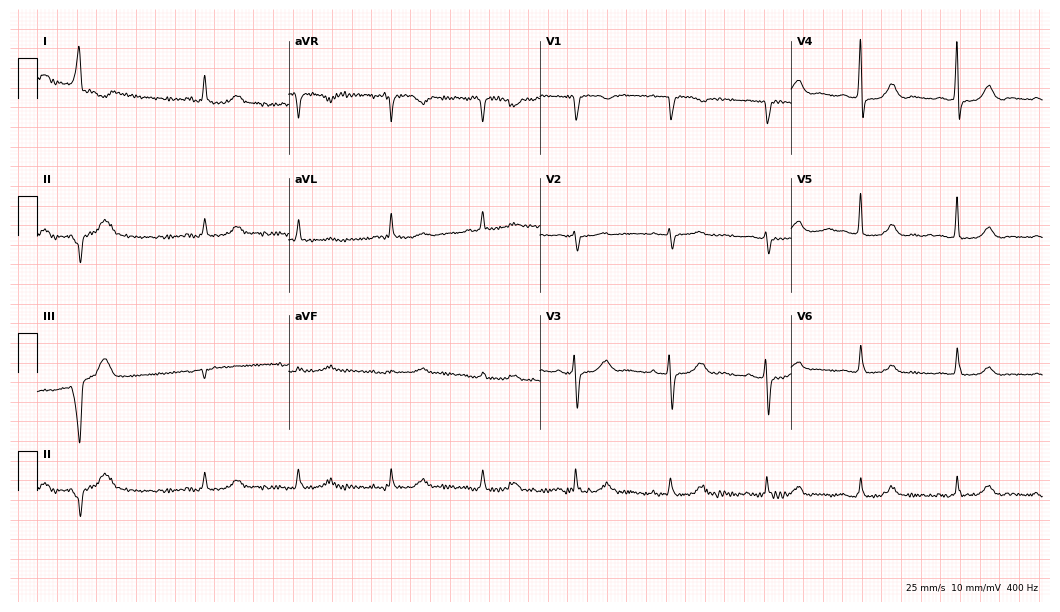
Electrocardiogram, a female patient, 82 years old. Of the six screened findings (first-degree AV block, right bundle branch block, left bundle branch block, sinus bradycardia, atrial fibrillation, sinus tachycardia), none is recorded. Other findings, if any, are not listed.